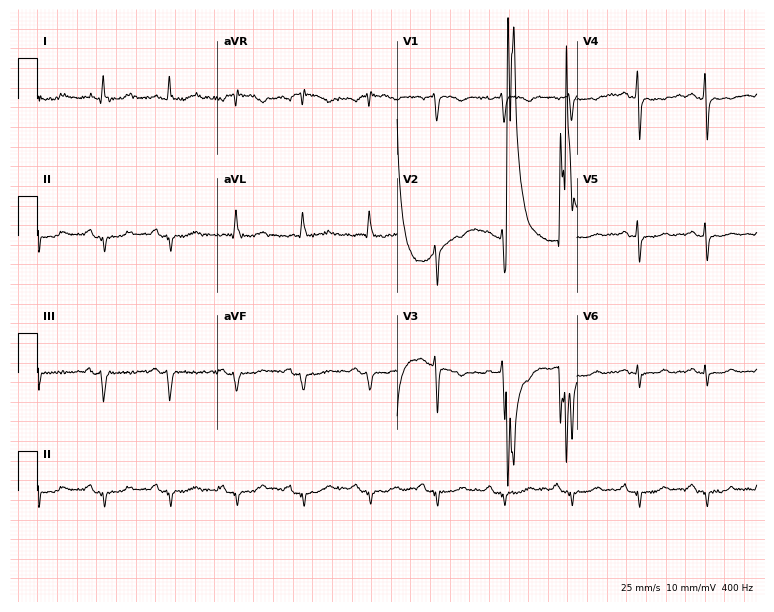
Resting 12-lead electrocardiogram (7.3-second recording at 400 Hz). Patient: a woman, 76 years old. None of these six findings is recorded: first-degree AV block, right bundle branch block, left bundle branch block, sinus bradycardia, atrial fibrillation, sinus tachycardia.